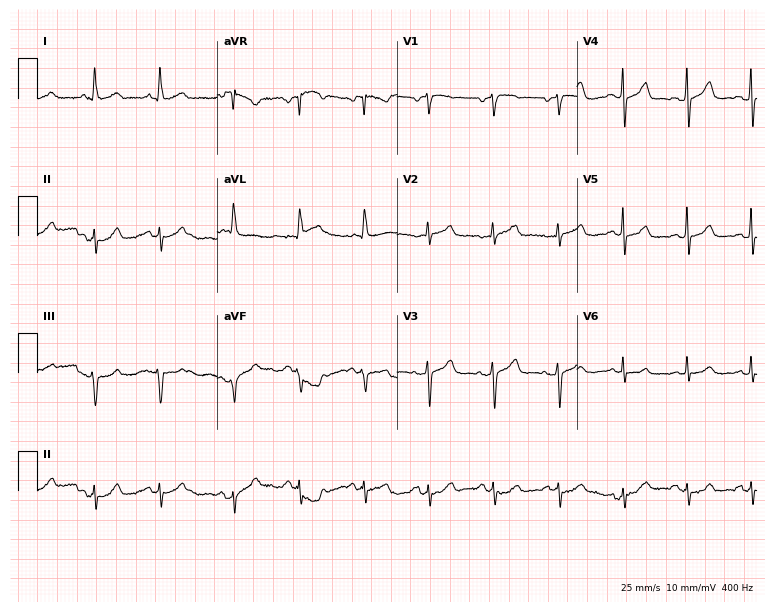
Electrocardiogram (7.3-second recording at 400 Hz), a 72-year-old female patient. Of the six screened findings (first-degree AV block, right bundle branch block, left bundle branch block, sinus bradycardia, atrial fibrillation, sinus tachycardia), none is recorded.